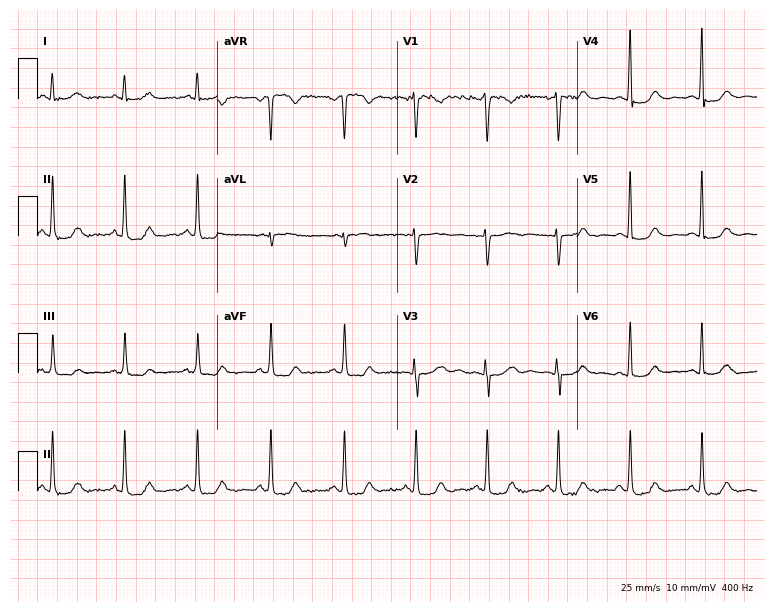
Electrocardiogram (7.3-second recording at 400 Hz), a 44-year-old female patient. Of the six screened findings (first-degree AV block, right bundle branch block, left bundle branch block, sinus bradycardia, atrial fibrillation, sinus tachycardia), none is recorded. Findings outside these six are not listed.